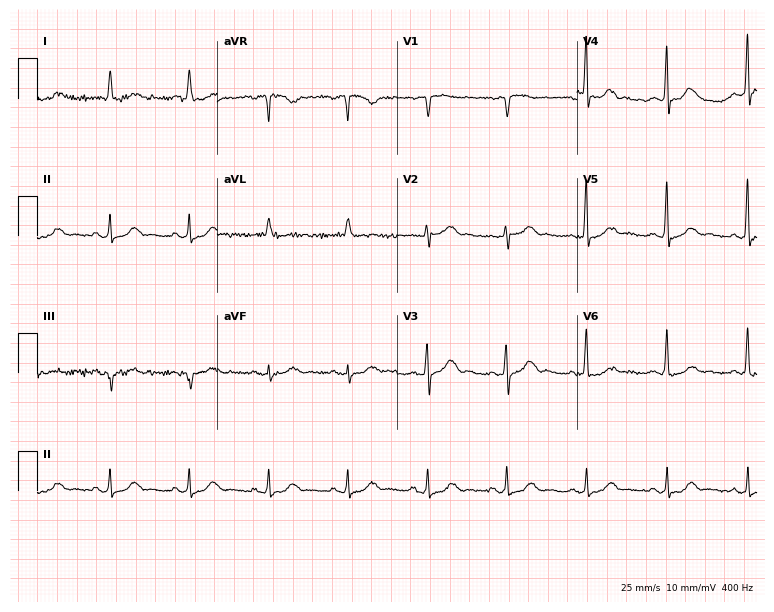
ECG — a female patient, 72 years old. Screened for six findings — first-degree AV block, right bundle branch block (RBBB), left bundle branch block (LBBB), sinus bradycardia, atrial fibrillation (AF), sinus tachycardia — none is recorded.